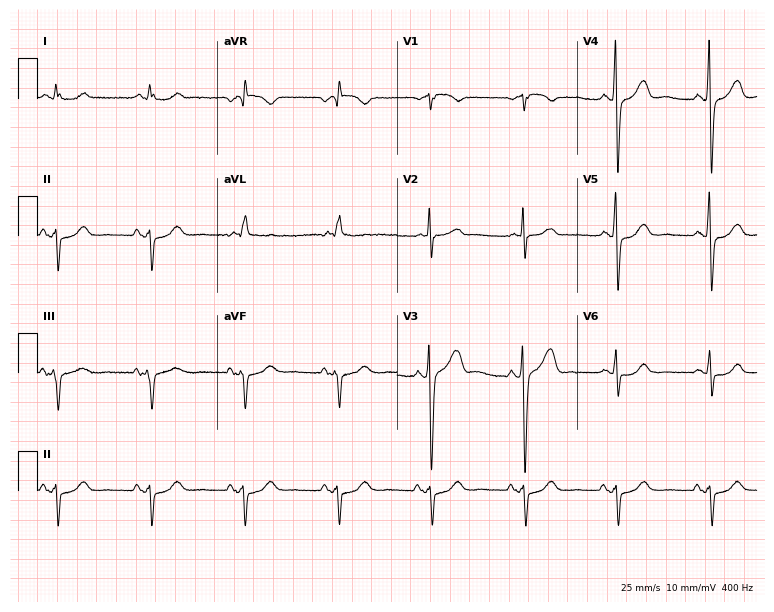
Resting 12-lead electrocardiogram (7.3-second recording at 400 Hz). Patient: a 63-year-old male. None of these six findings is recorded: first-degree AV block, right bundle branch block, left bundle branch block, sinus bradycardia, atrial fibrillation, sinus tachycardia. Only these six findings were labelled.